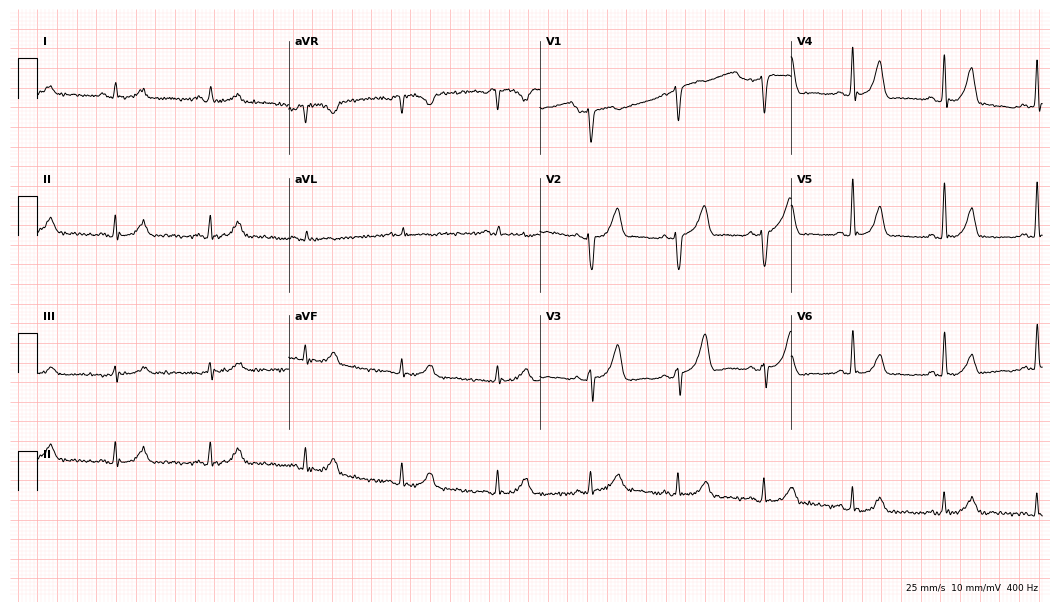
ECG — a 71-year-old man. Labelled as a normal ECG.